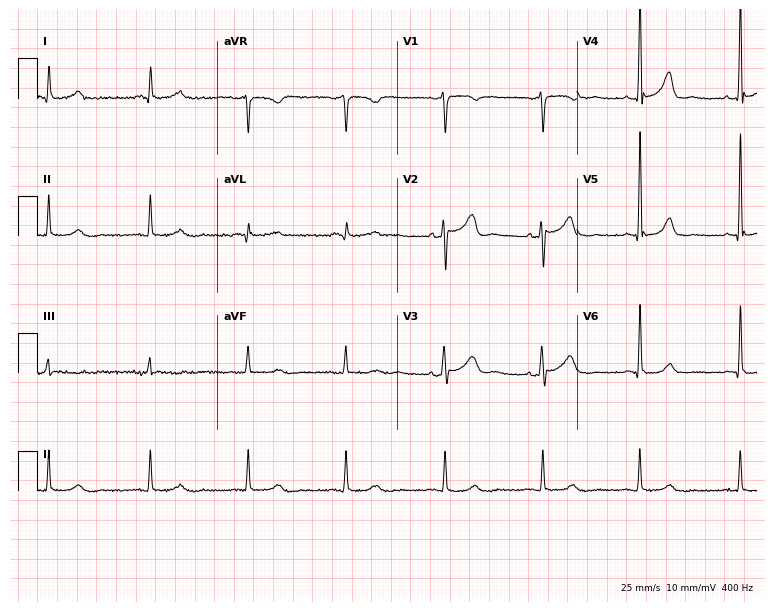
Electrocardiogram, a 61-year-old male. Of the six screened findings (first-degree AV block, right bundle branch block (RBBB), left bundle branch block (LBBB), sinus bradycardia, atrial fibrillation (AF), sinus tachycardia), none is recorded.